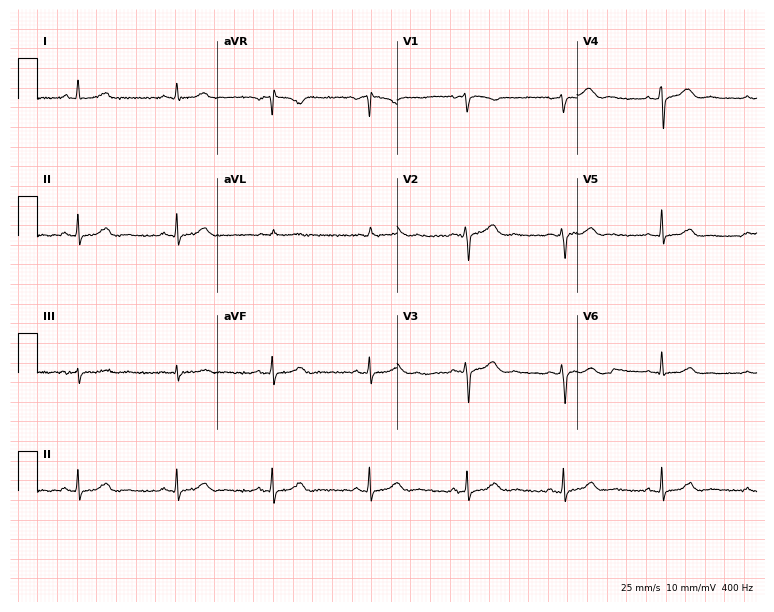
Resting 12-lead electrocardiogram (7.3-second recording at 400 Hz). Patient: a 59-year-old female. None of these six findings is recorded: first-degree AV block, right bundle branch block, left bundle branch block, sinus bradycardia, atrial fibrillation, sinus tachycardia.